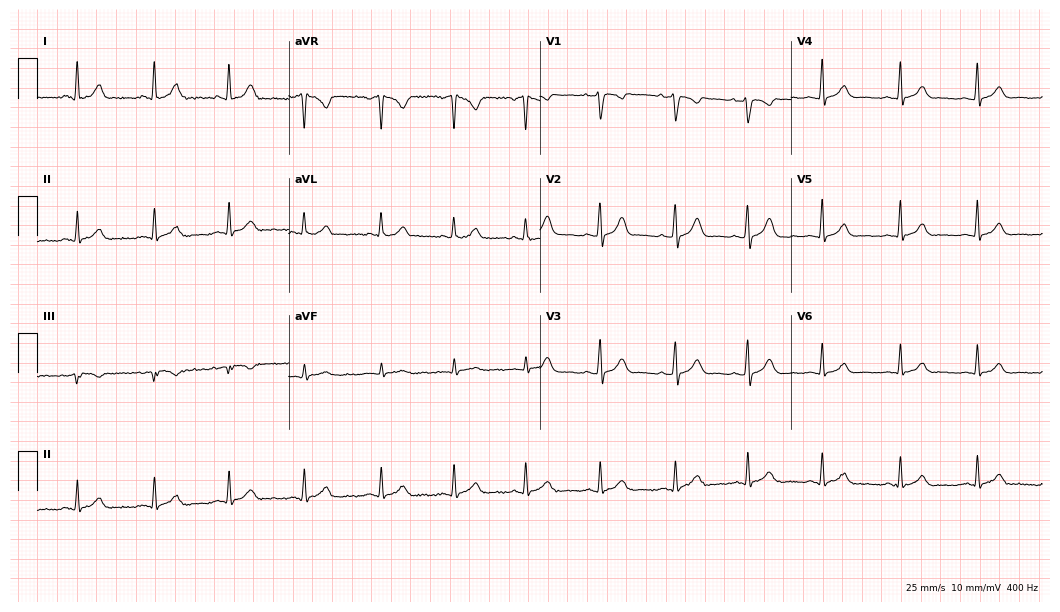
Standard 12-lead ECG recorded from a woman, 33 years old (10.2-second recording at 400 Hz). Read as a normal ECG.